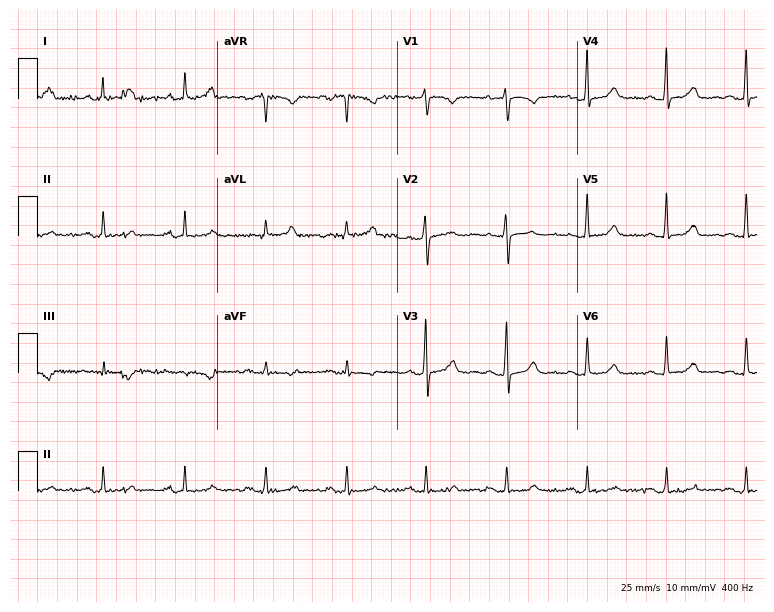
Standard 12-lead ECG recorded from a woman, 57 years old. None of these six findings is recorded: first-degree AV block, right bundle branch block, left bundle branch block, sinus bradycardia, atrial fibrillation, sinus tachycardia. Findings outside these six are not listed.